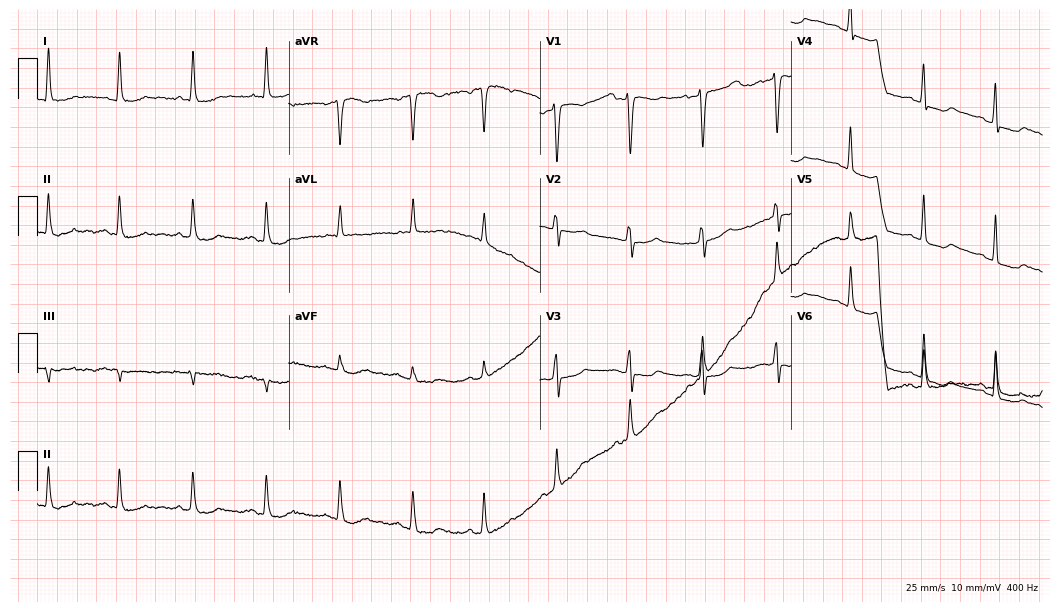
ECG — a female, 46 years old. Screened for six findings — first-degree AV block, right bundle branch block, left bundle branch block, sinus bradycardia, atrial fibrillation, sinus tachycardia — none is recorded. Other findings, if any, are not listed.